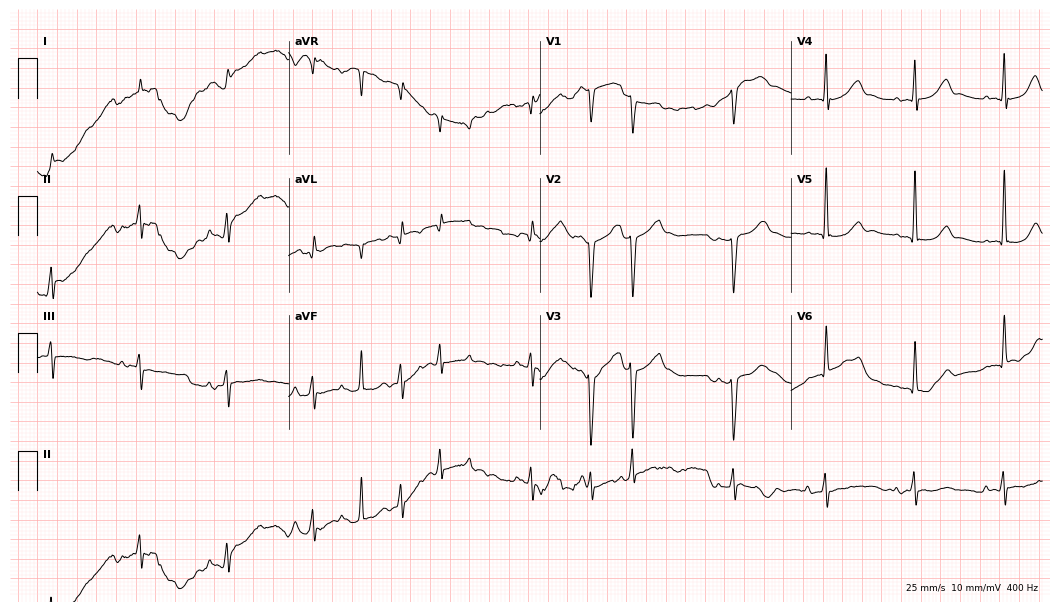
ECG — a man, 82 years old. Screened for six findings — first-degree AV block, right bundle branch block (RBBB), left bundle branch block (LBBB), sinus bradycardia, atrial fibrillation (AF), sinus tachycardia — none is recorded. Findings outside these six are not listed.